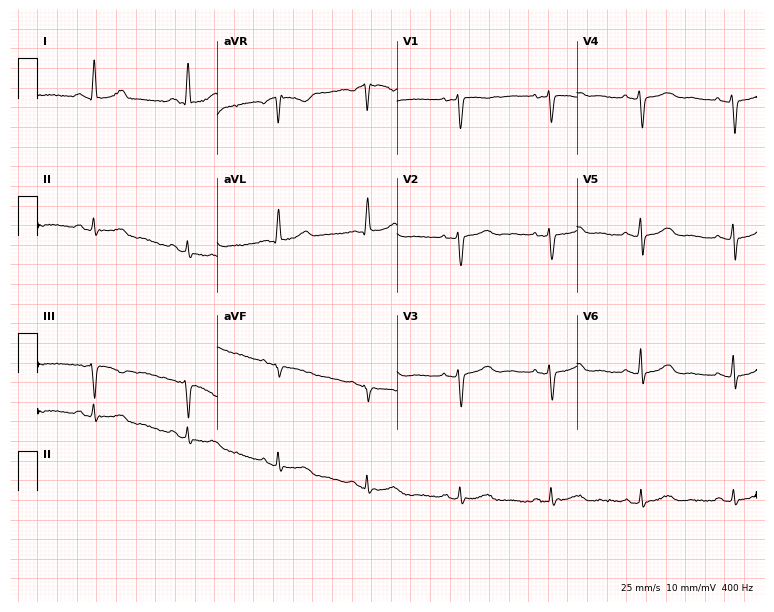
12-lead ECG from a 53-year-old woman (7.3-second recording at 400 Hz). No first-degree AV block, right bundle branch block, left bundle branch block, sinus bradycardia, atrial fibrillation or sinus tachycardia recorded for this tracing.